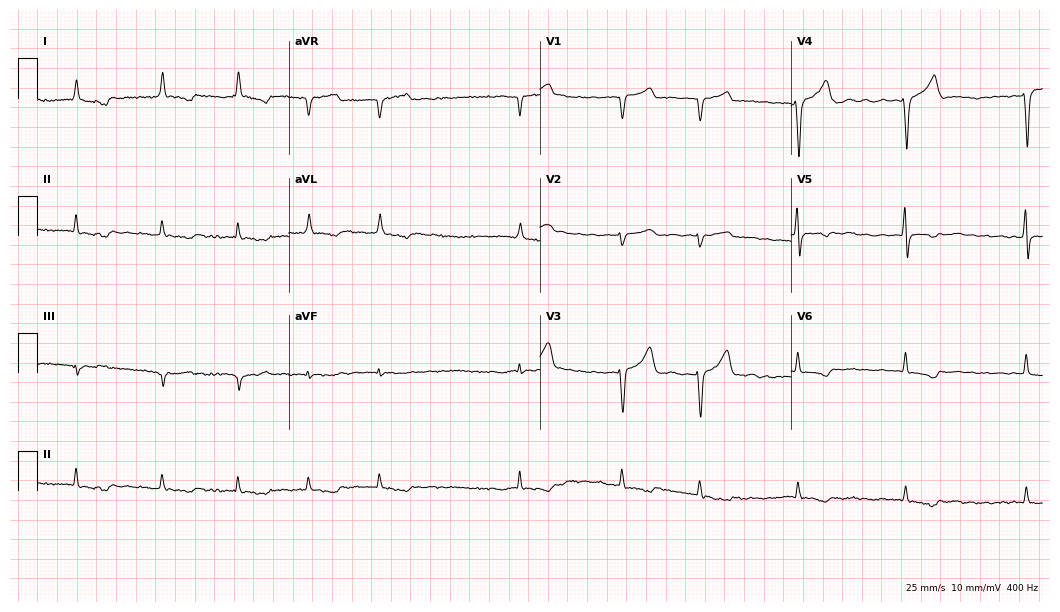
Resting 12-lead electrocardiogram. Patient: a 67-year-old man. None of these six findings is recorded: first-degree AV block, right bundle branch block, left bundle branch block, sinus bradycardia, atrial fibrillation, sinus tachycardia.